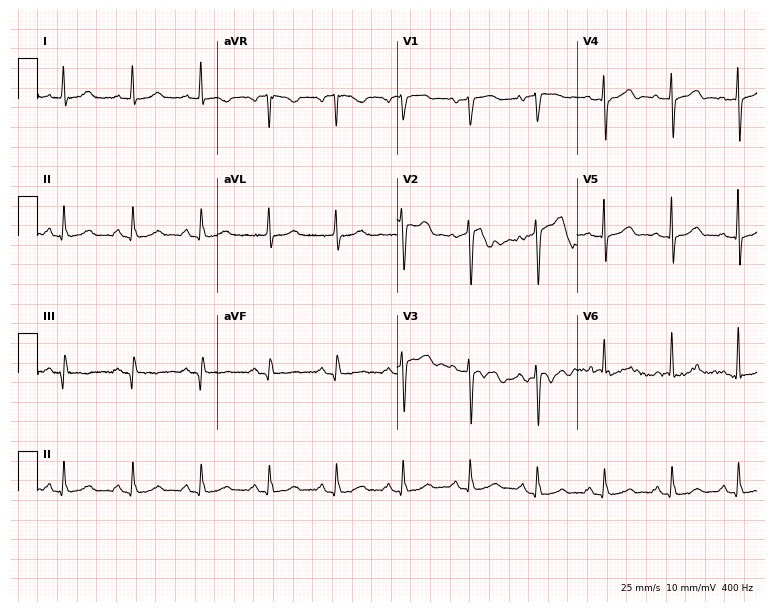
ECG (7.3-second recording at 400 Hz) — a 52-year-old female. Labelled as a normal ECG.